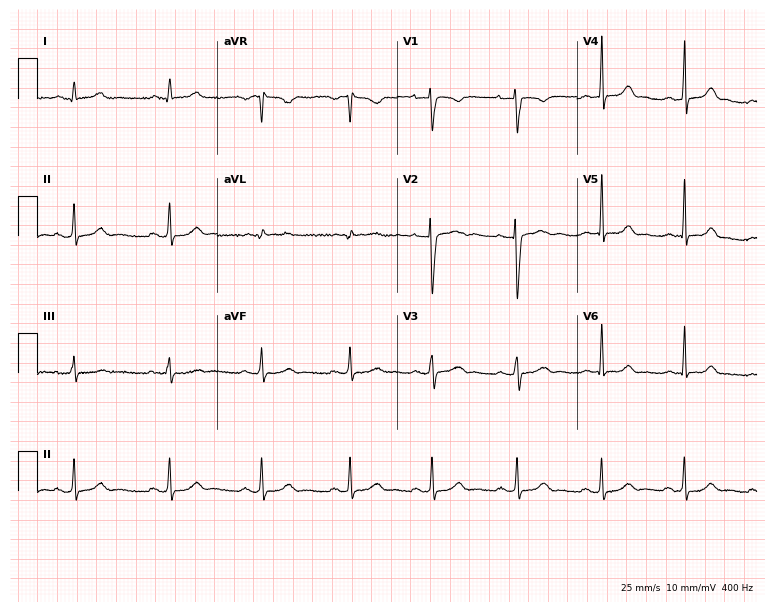
ECG — a woman, 28 years old. Labelled as a normal ECG.